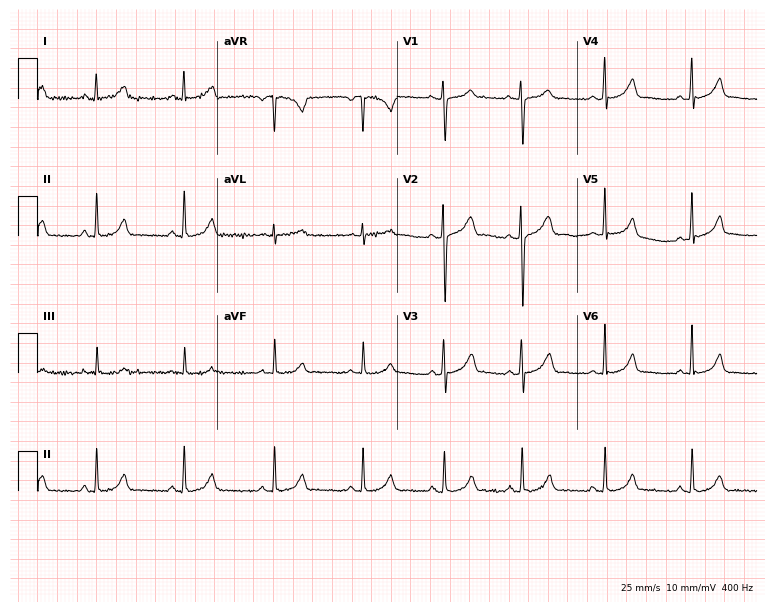
ECG (7.3-second recording at 400 Hz) — a 24-year-old woman. Labelled as a normal ECG.